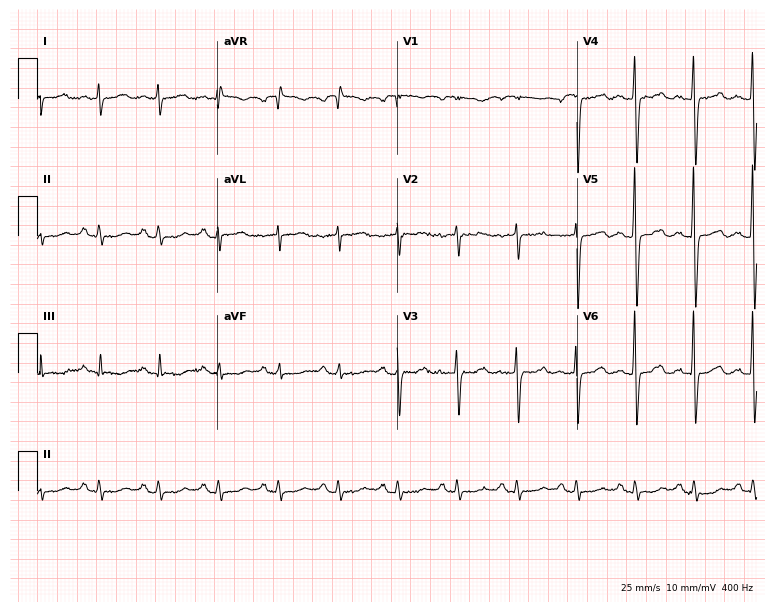
12-lead ECG from a male patient, 77 years old (7.3-second recording at 400 Hz). No first-degree AV block, right bundle branch block (RBBB), left bundle branch block (LBBB), sinus bradycardia, atrial fibrillation (AF) or sinus tachycardia recorded for this tracing.